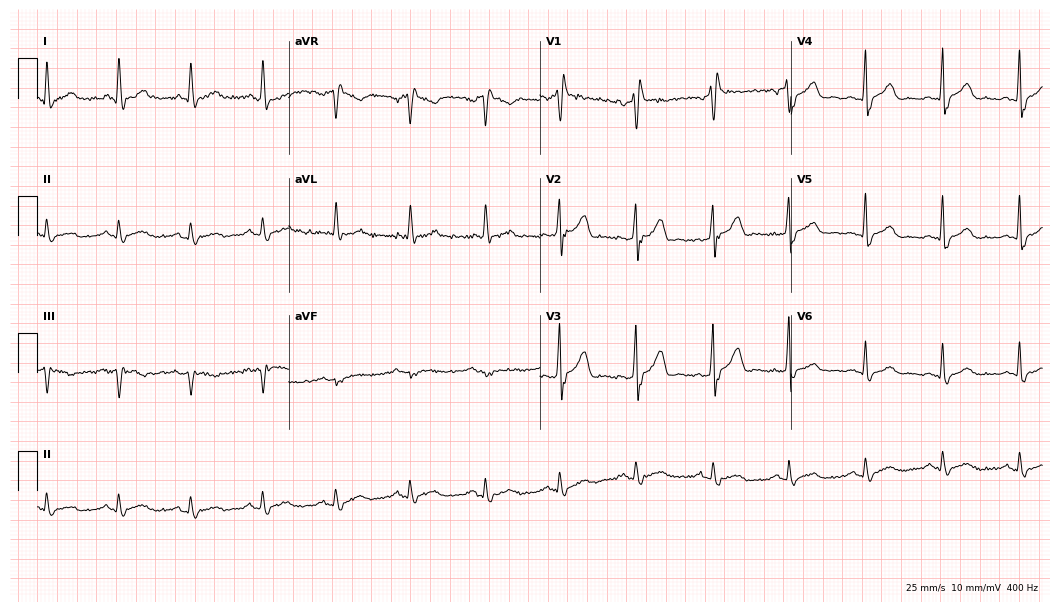
Electrocardiogram (10.2-second recording at 400 Hz), a 53-year-old man. Interpretation includes right bundle branch block.